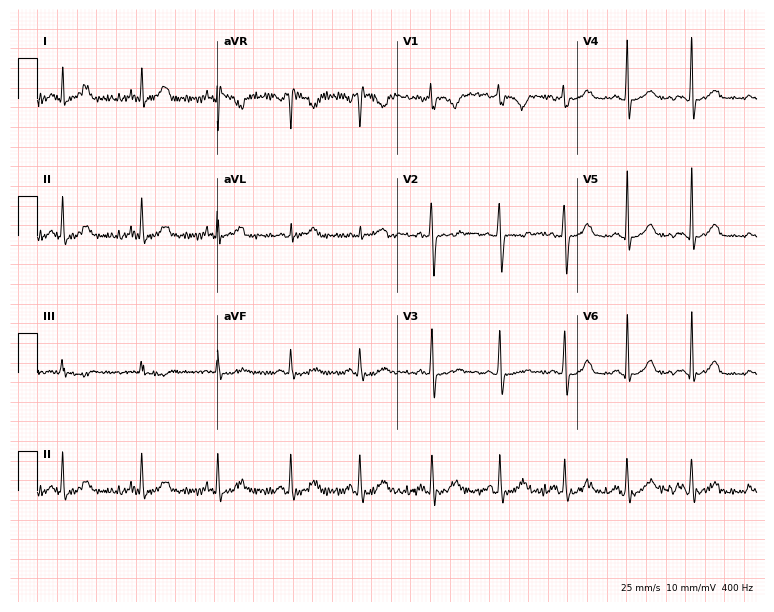
Resting 12-lead electrocardiogram (7.3-second recording at 400 Hz). Patient: a woman, 35 years old. None of these six findings is recorded: first-degree AV block, right bundle branch block, left bundle branch block, sinus bradycardia, atrial fibrillation, sinus tachycardia.